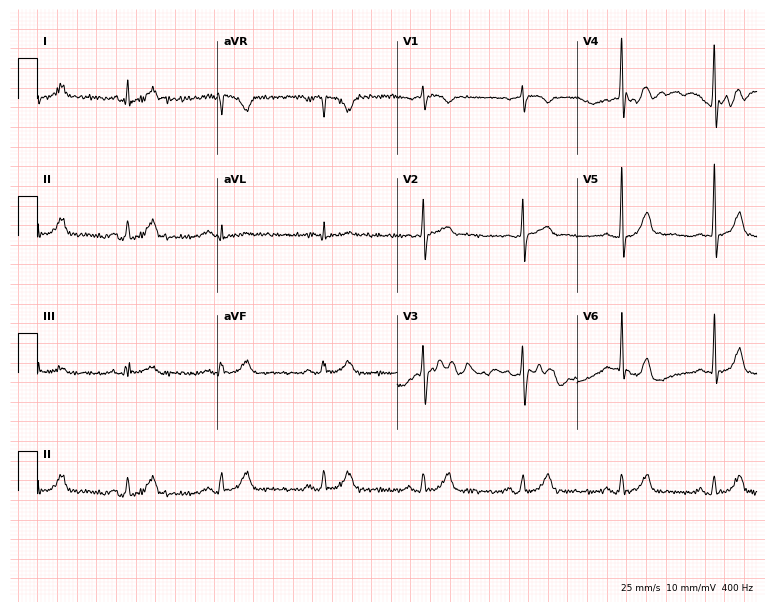
12-lead ECG from a 60-year-old man (7.3-second recording at 400 Hz). No first-degree AV block, right bundle branch block, left bundle branch block, sinus bradycardia, atrial fibrillation or sinus tachycardia recorded for this tracing.